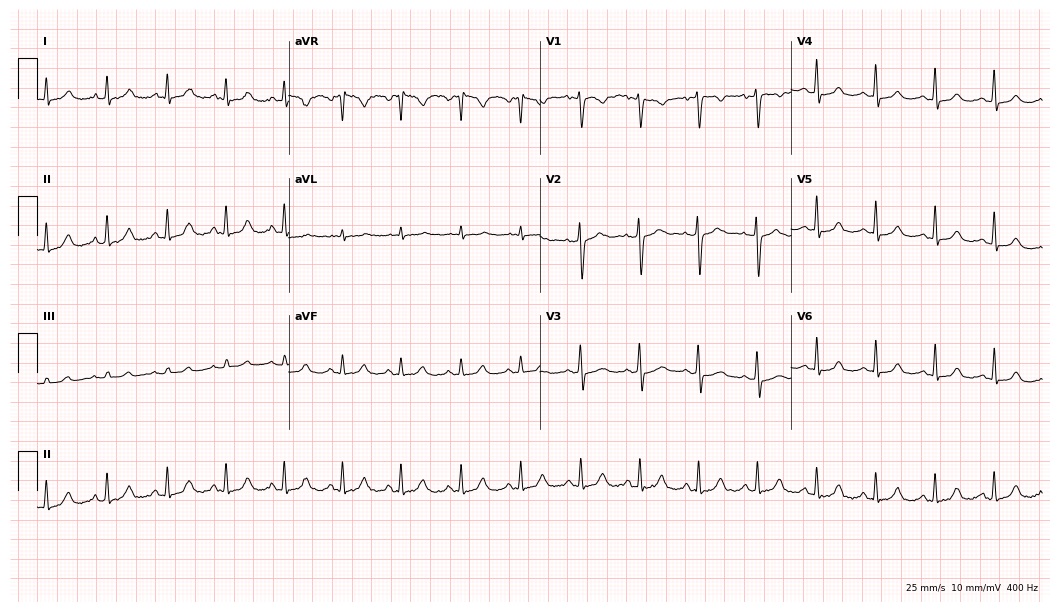
Resting 12-lead electrocardiogram. Patient: a female, 52 years old. Read as a normal ECG.